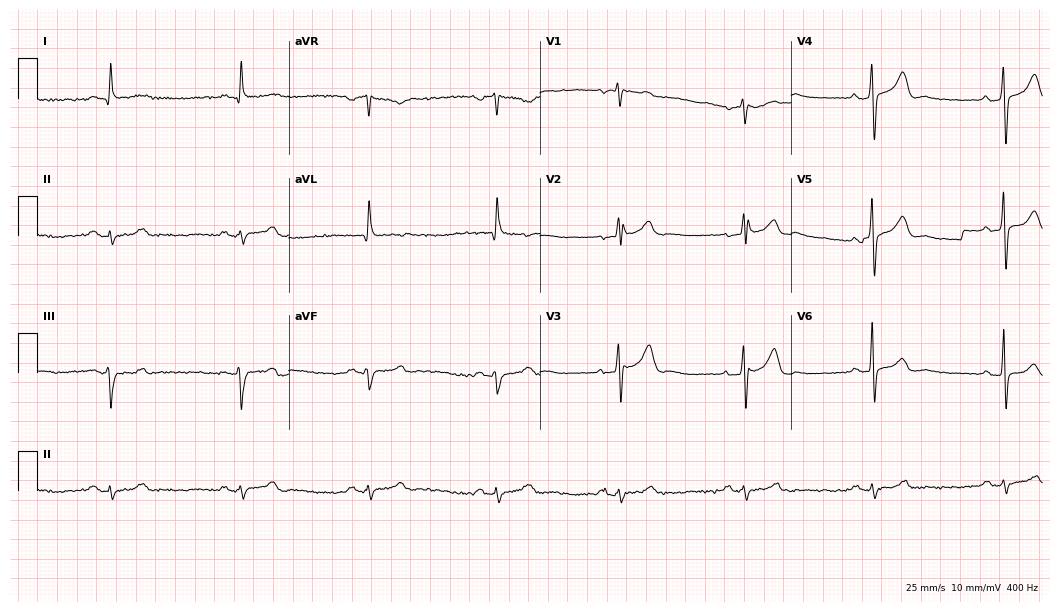
Resting 12-lead electrocardiogram (10.2-second recording at 400 Hz). Patient: a 57-year-old male. The tracing shows sinus bradycardia (a sinus rate of 50 beats per minute or less).